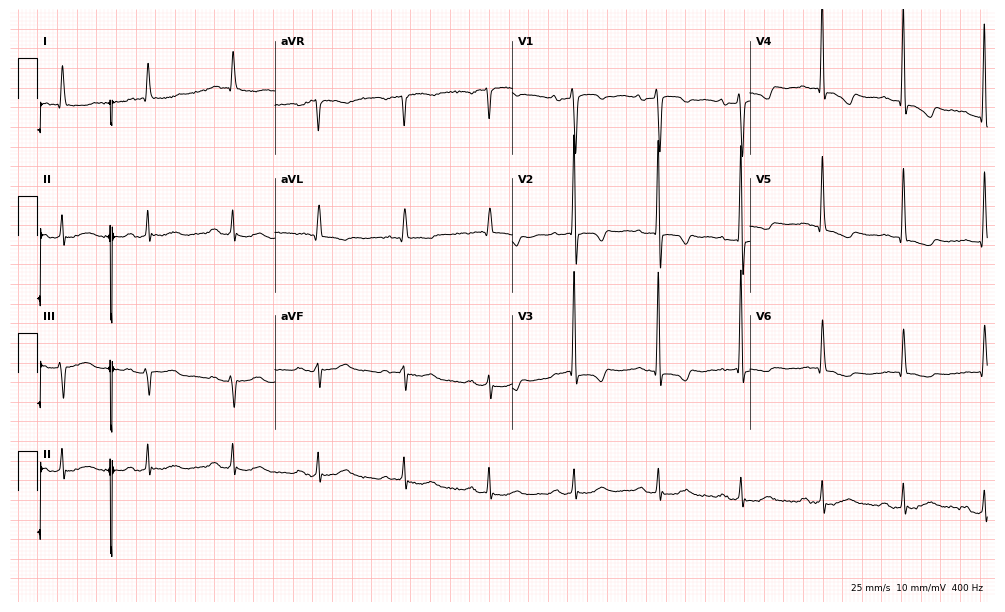
12-lead ECG from an 84-year-old female (9.7-second recording at 400 Hz). No first-degree AV block, right bundle branch block (RBBB), left bundle branch block (LBBB), sinus bradycardia, atrial fibrillation (AF) or sinus tachycardia recorded for this tracing. Findings outside these six are not listed.